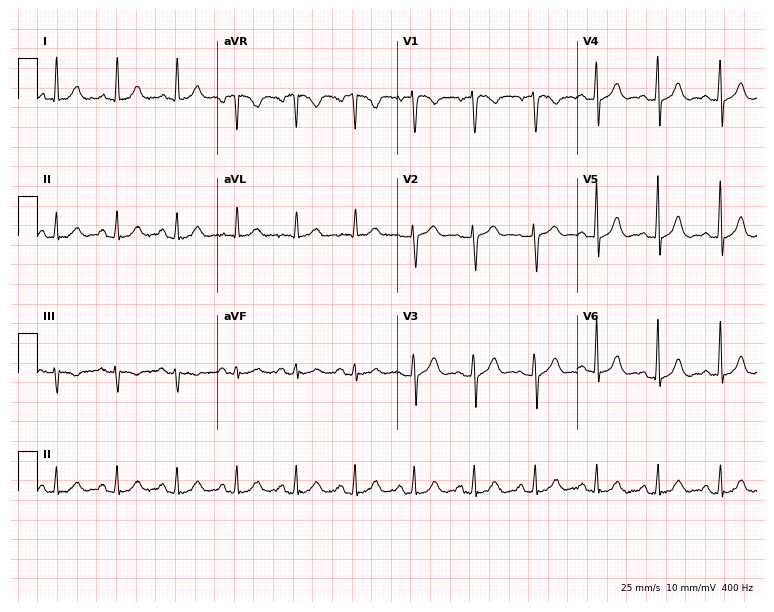
12-lead ECG from a female patient, 57 years old. Screened for six findings — first-degree AV block, right bundle branch block, left bundle branch block, sinus bradycardia, atrial fibrillation, sinus tachycardia — none is recorded. Other findings, if any, are not listed.